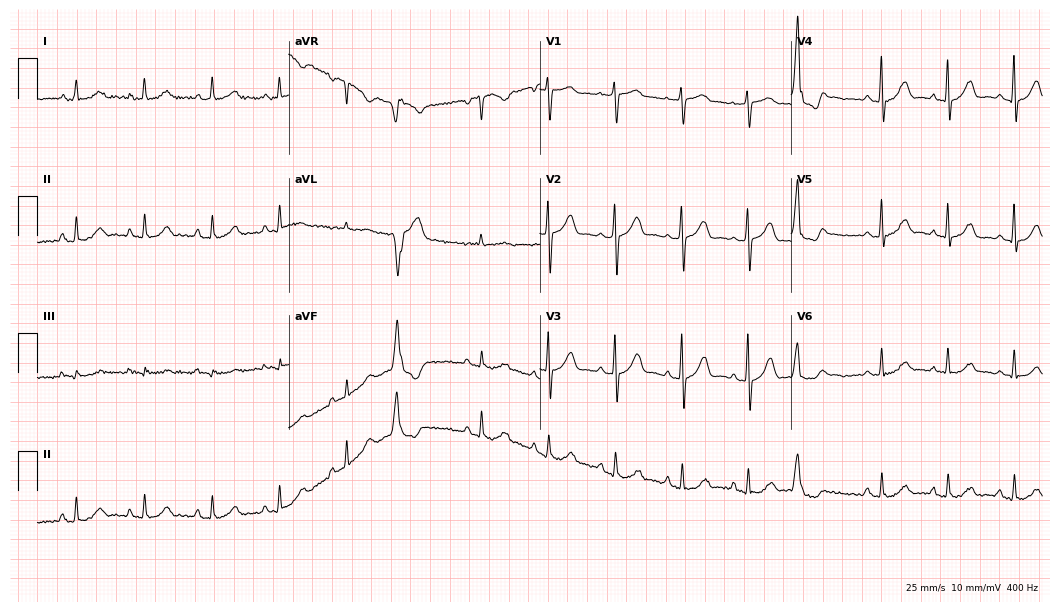
12-lead ECG from a 66-year-old female (10.2-second recording at 400 Hz). Recorded interpretation: within normal limits.